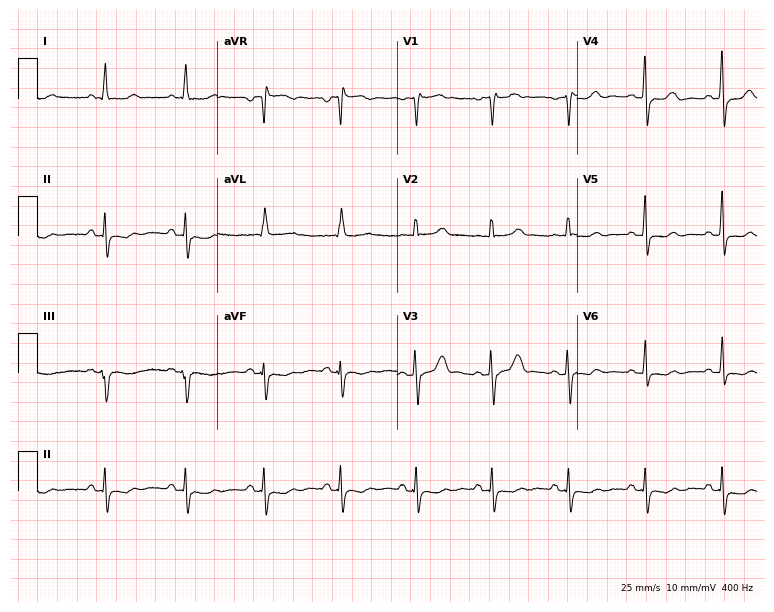
12-lead ECG from a woman, 62 years old. Screened for six findings — first-degree AV block, right bundle branch block (RBBB), left bundle branch block (LBBB), sinus bradycardia, atrial fibrillation (AF), sinus tachycardia — none is recorded. Findings outside these six are not listed.